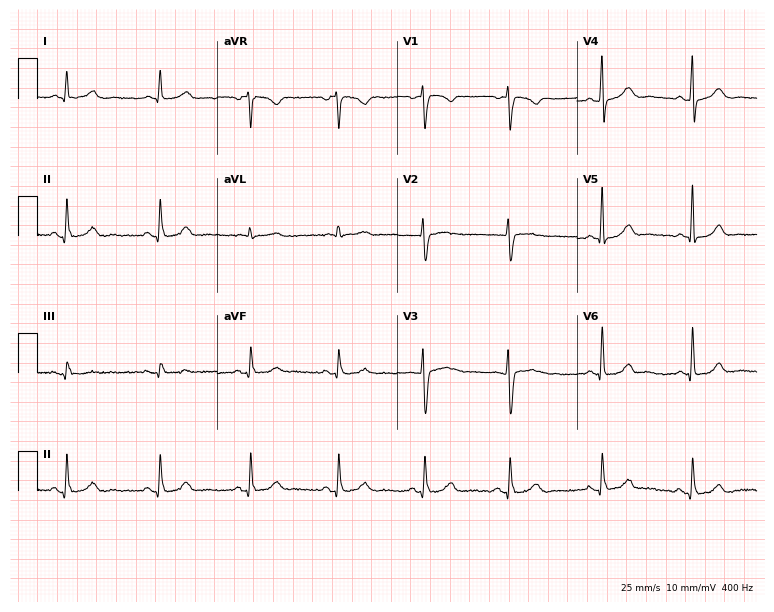
12-lead ECG (7.3-second recording at 400 Hz) from a female patient, 51 years old. Labelled as a normal ECG.